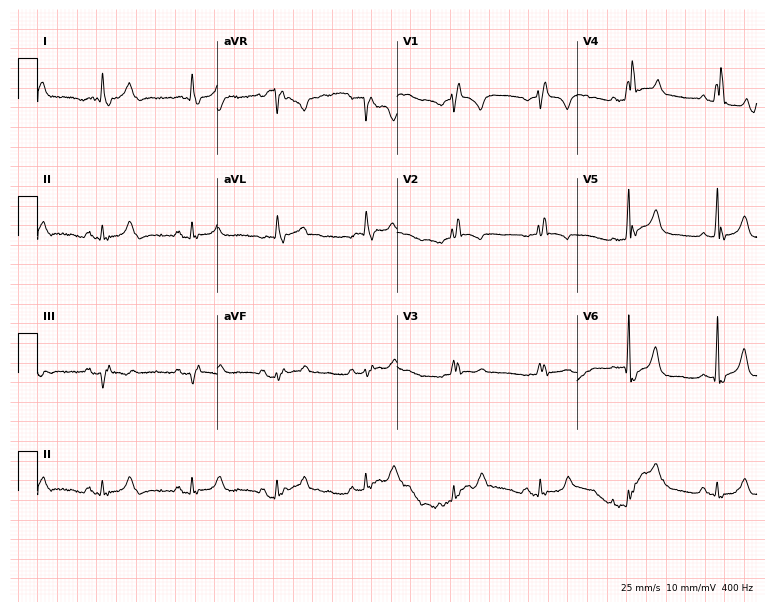
Electrocardiogram (7.3-second recording at 400 Hz), a male patient, 81 years old. Interpretation includes right bundle branch block.